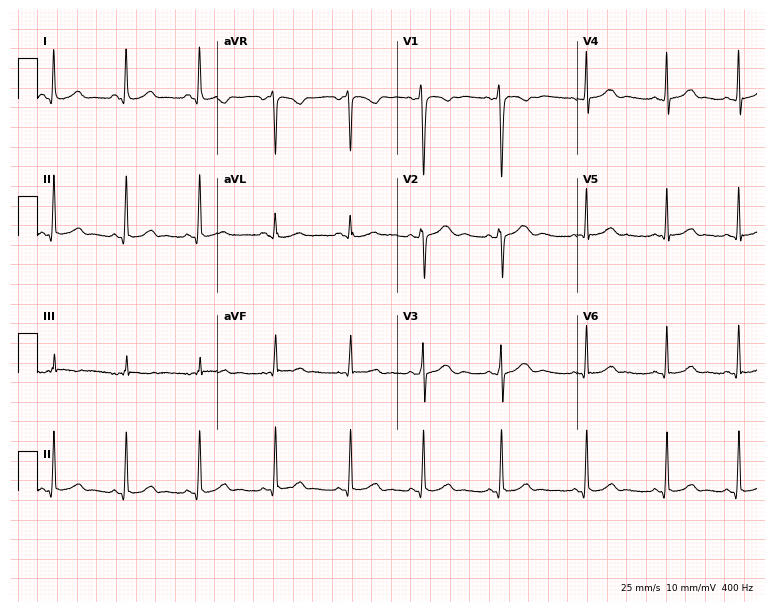
12-lead ECG from an 18-year-old female (7.3-second recording at 400 Hz). Recorded interpretation: within normal limits.